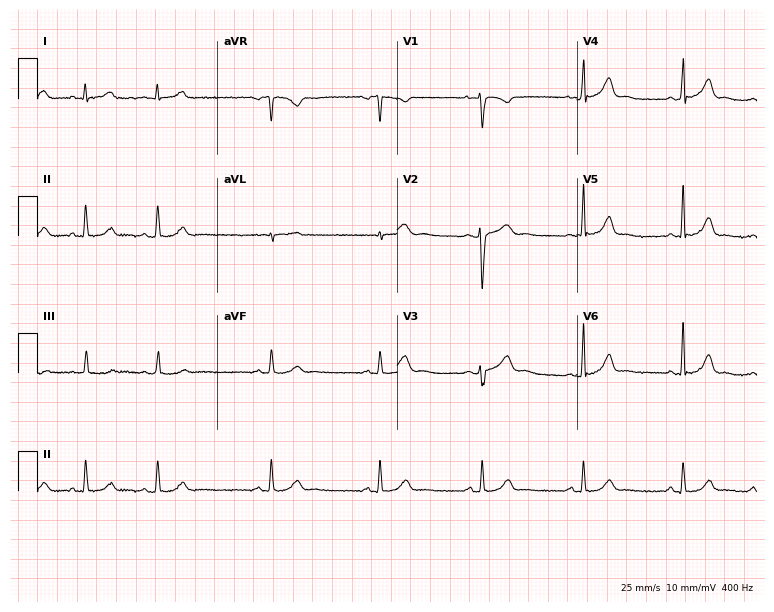
12-lead ECG from a female, 28 years old. Labelled as a normal ECG.